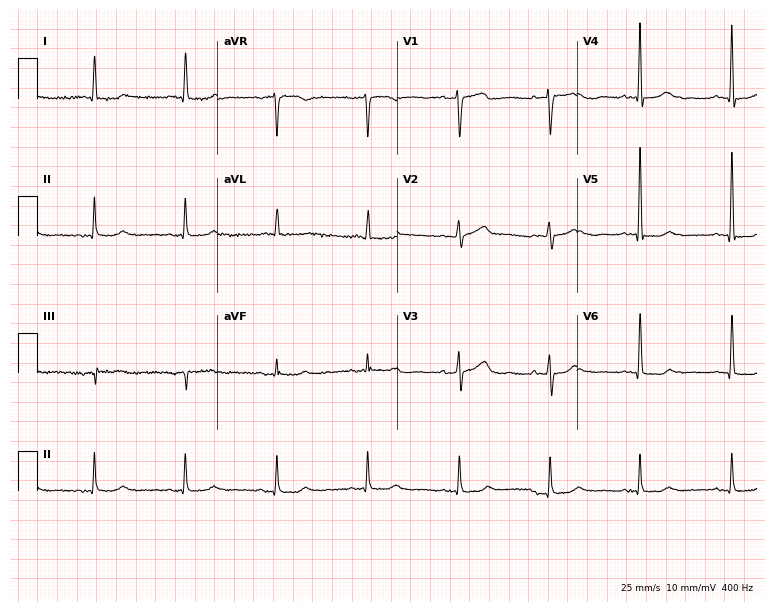
ECG (7.3-second recording at 400 Hz) — a female patient, 77 years old. Screened for six findings — first-degree AV block, right bundle branch block (RBBB), left bundle branch block (LBBB), sinus bradycardia, atrial fibrillation (AF), sinus tachycardia — none is recorded. Other findings, if any, are not listed.